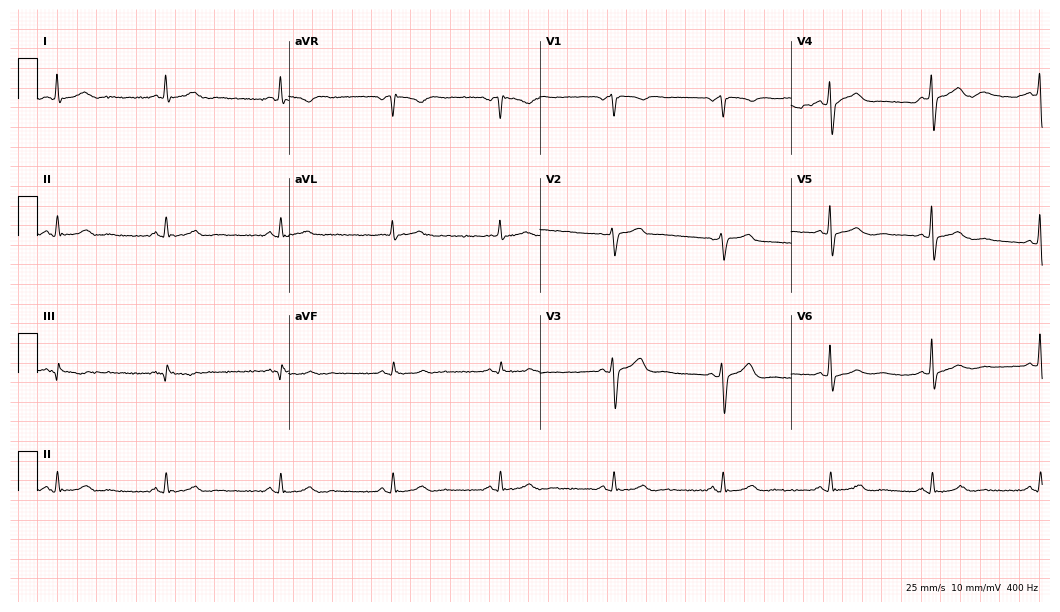
12-lead ECG from a male, 58 years old. Labelled as a normal ECG.